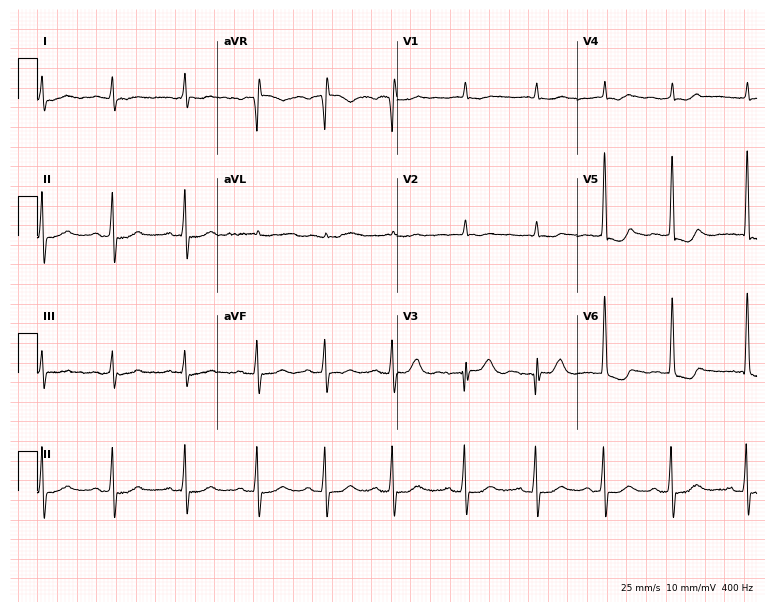
12-lead ECG from an 82-year-old woman (7.3-second recording at 400 Hz). No first-degree AV block, right bundle branch block, left bundle branch block, sinus bradycardia, atrial fibrillation or sinus tachycardia recorded for this tracing. Only these six findings were labelled.